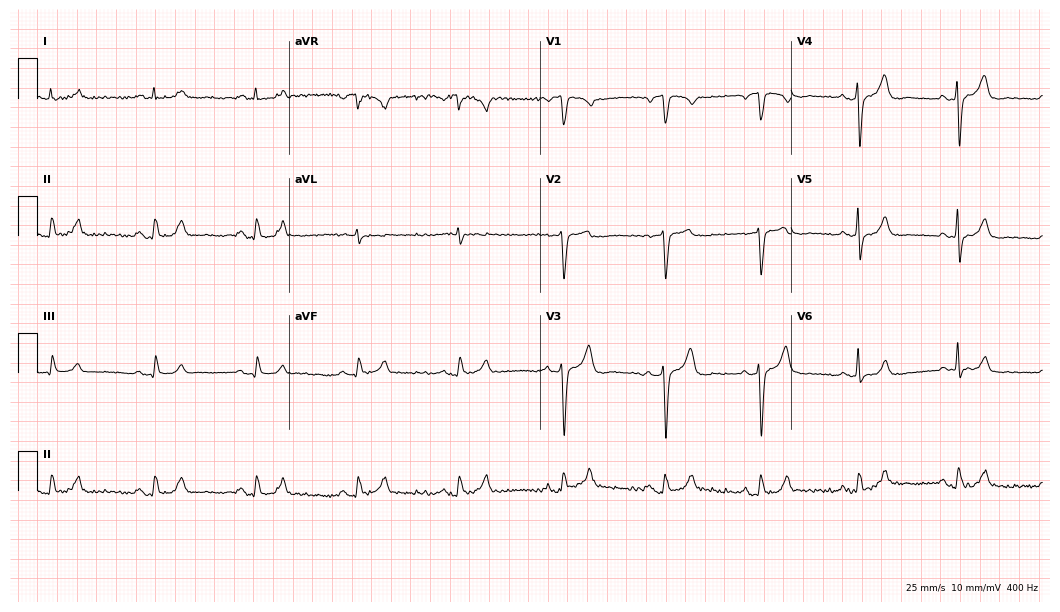
12-lead ECG from a male, 81 years old. Recorded interpretation: within normal limits.